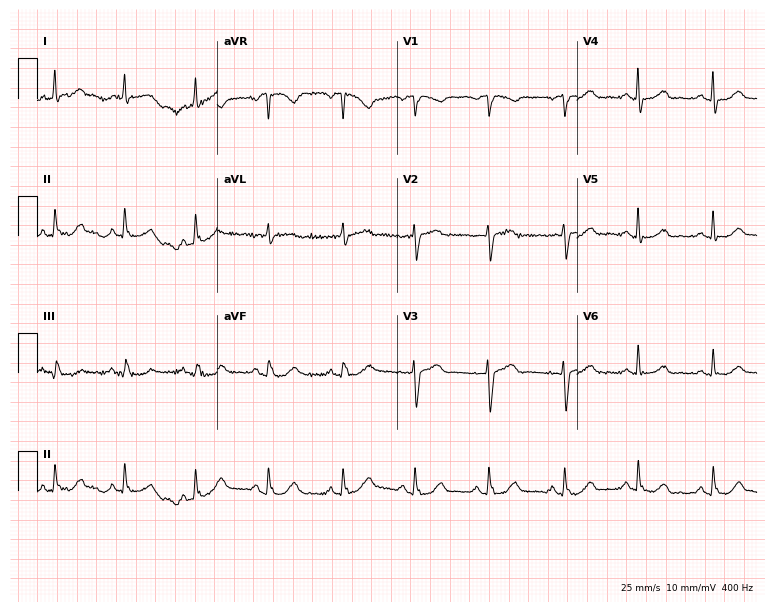
12-lead ECG (7.3-second recording at 400 Hz) from a 54-year-old woman. Labelled as a normal ECG.